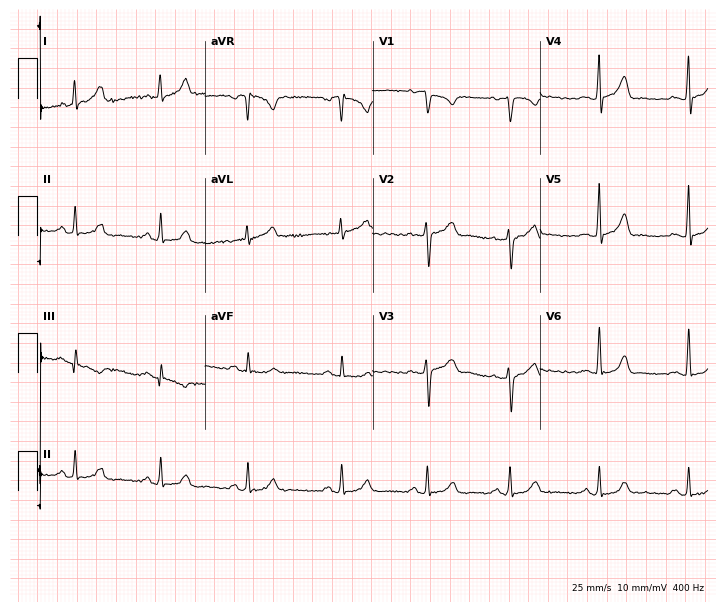
12-lead ECG from a woman, 23 years old (6.8-second recording at 400 Hz). No first-degree AV block, right bundle branch block, left bundle branch block, sinus bradycardia, atrial fibrillation or sinus tachycardia recorded for this tracing.